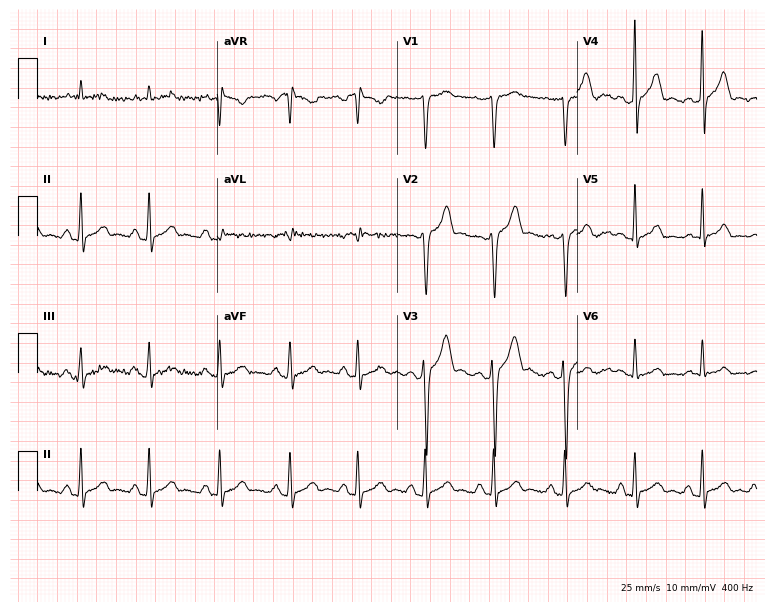
Electrocardiogram, a man, 40 years old. Overall reading on record: normal ECG.